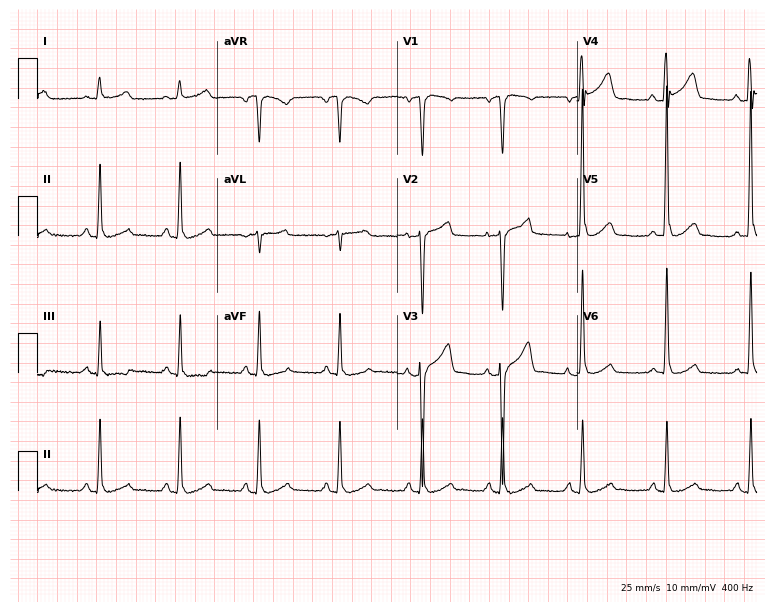
Standard 12-lead ECG recorded from a male, 65 years old (7.3-second recording at 400 Hz). None of these six findings is recorded: first-degree AV block, right bundle branch block (RBBB), left bundle branch block (LBBB), sinus bradycardia, atrial fibrillation (AF), sinus tachycardia.